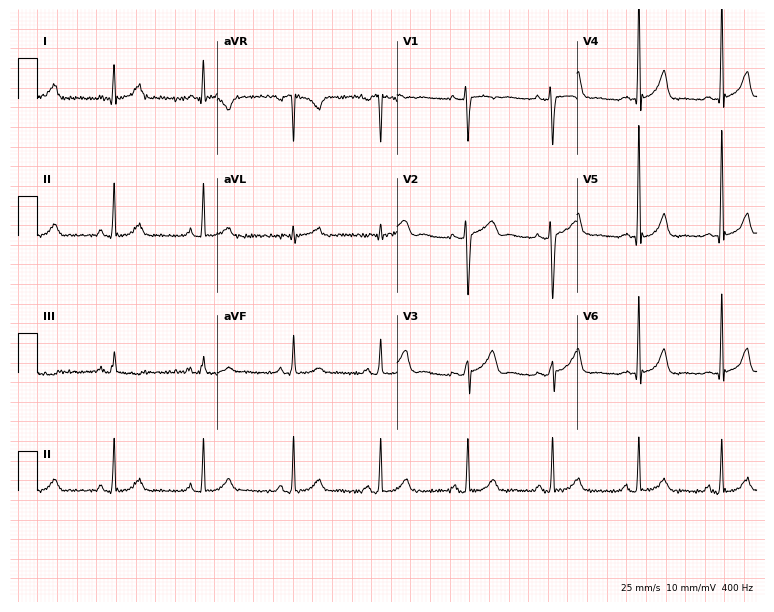
Electrocardiogram, a female, 28 years old. Of the six screened findings (first-degree AV block, right bundle branch block (RBBB), left bundle branch block (LBBB), sinus bradycardia, atrial fibrillation (AF), sinus tachycardia), none is recorded. Findings outside these six are not listed.